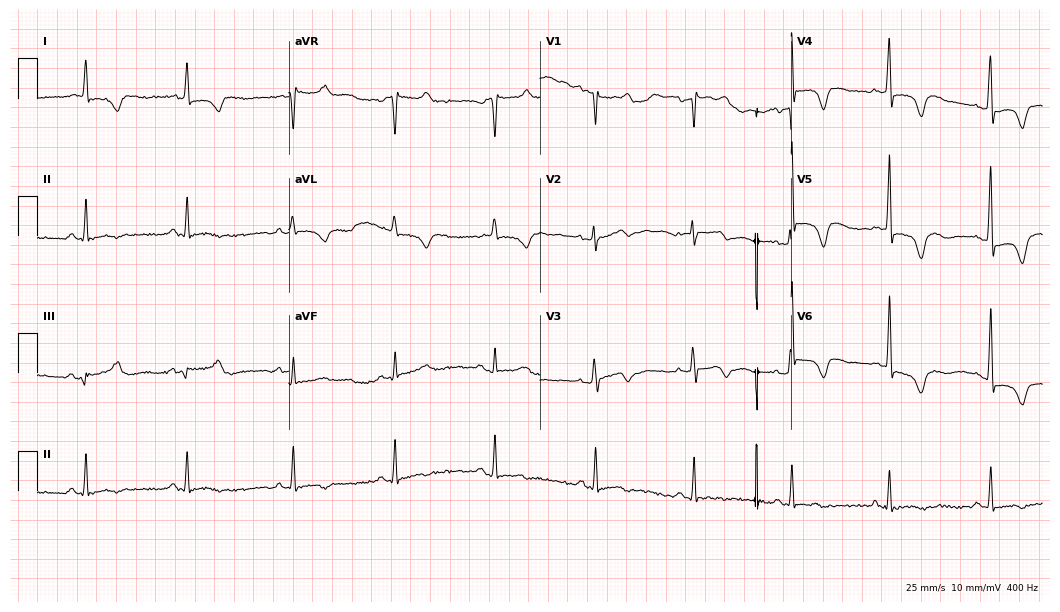
ECG — an 81-year-old male. Screened for six findings — first-degree AV block, right bundle branch block (RBBB), left bundle branch block (LBBB), sinus bradycardia, atrial fibrillation (AF), sinus tachycardia — none is recorded. Only these six findings were labelled.